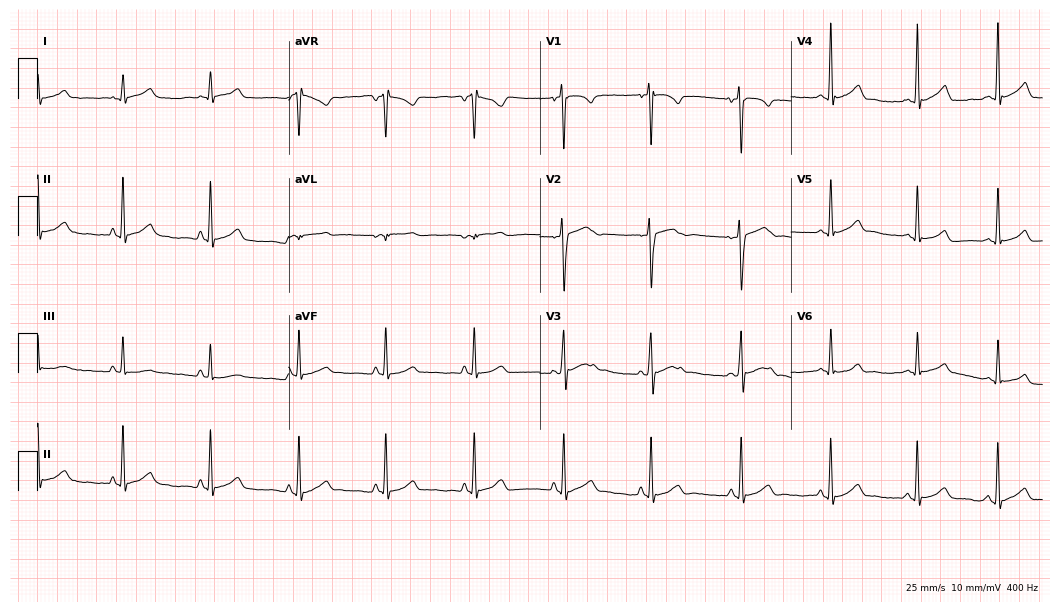
12-lead ECG from a 17-year-old male patient. Labelled as a normal ECG.